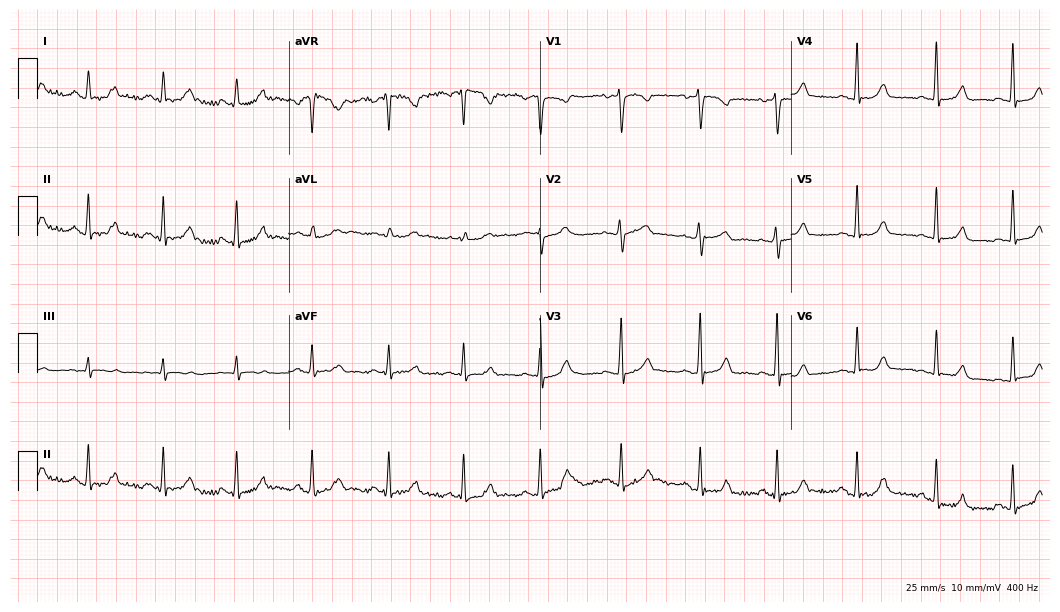
12-lead ECG from a female, 31 years old. Recorded interpretation: within normal limits.